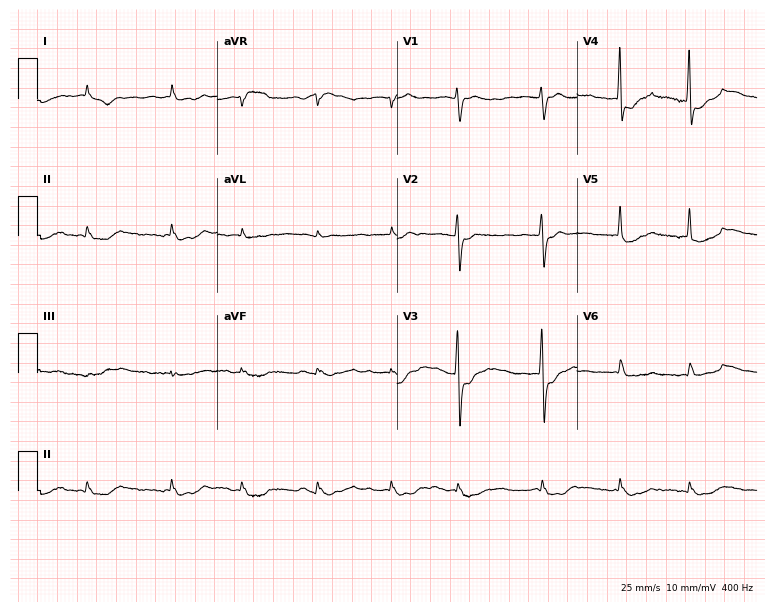
ECG (7.3-second recording at 400 Hz) — a woman, 81 years old. Findings include atrial fibrillation.